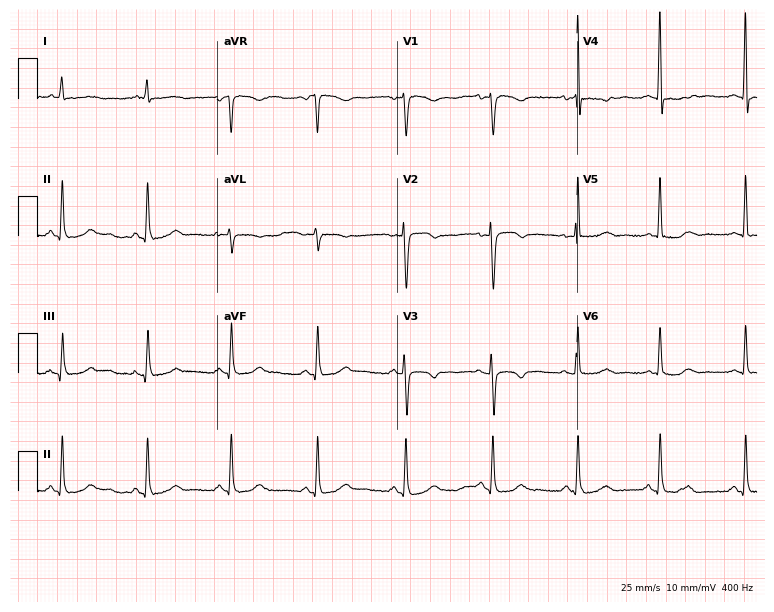
Electrocardiogram (7.3-second recording at 400 Hz), a 54-year-old female. Of the six screened findings (first-degree AV block, right bundle branch block (RBBB), left bundle branch block (LBBB), sinus bradycardia, atrial fibrillation (AF), sinus tachycardia), none is recorded.